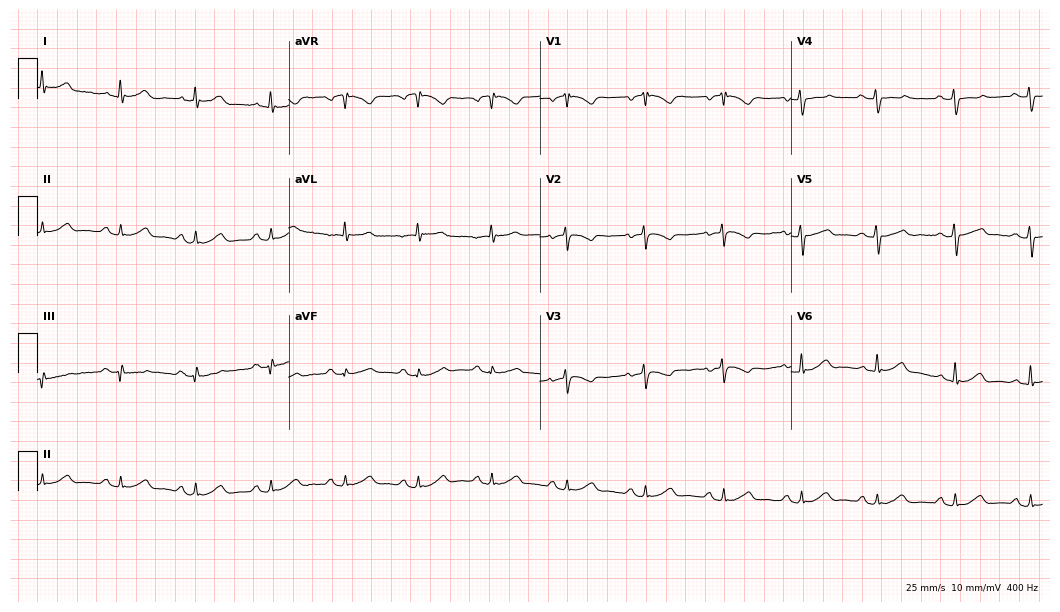
Resting 12-lead electrocardiogram (10.2-second recording at 400 Hz). Patient: a 35-year-old male. Read as a normal ECG.